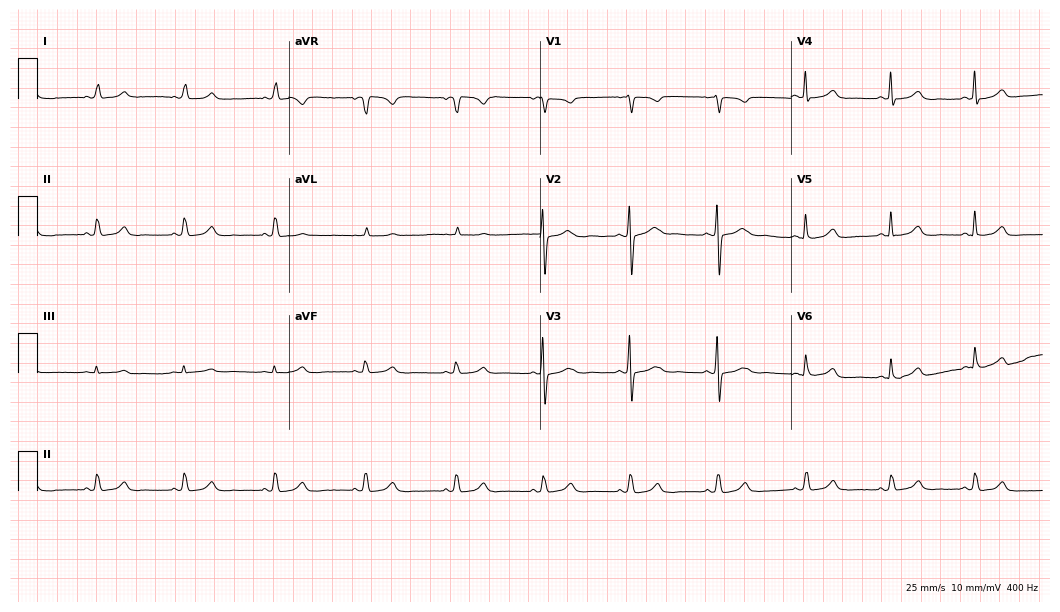
12-lead ECG from a 42-year-old female patient (10.2-second recording at 400 Hz). Recorded interpretation: within normal limits.